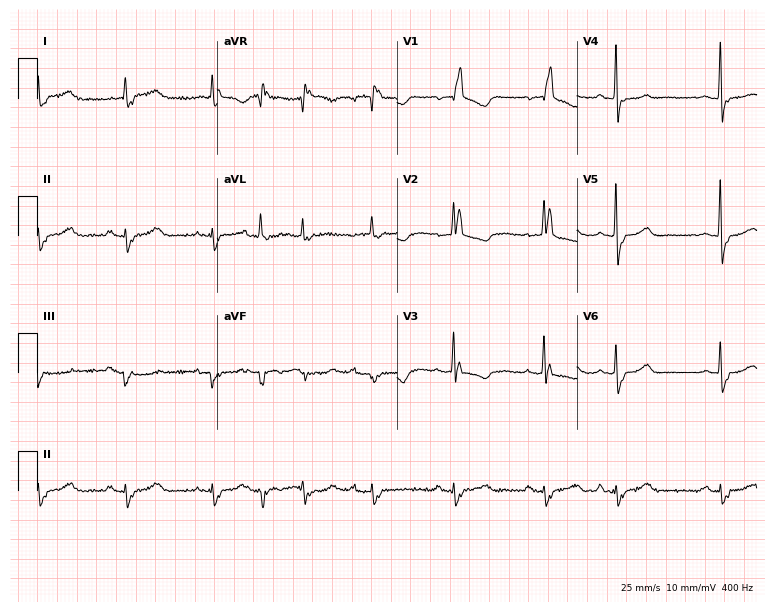
Resting 12-lead electrocardiogram. Patient: a woman, 73 years old. The tracing shows right bundle branch block.